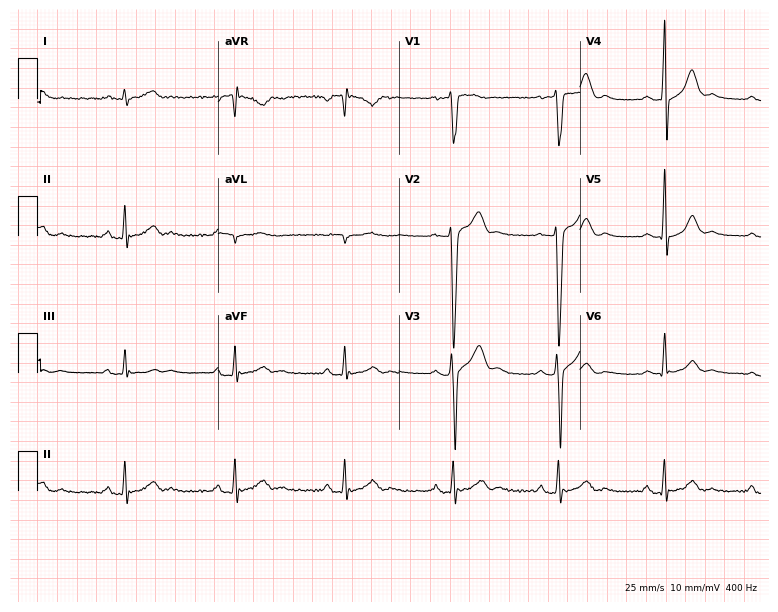
Electrocardiogram (7.4-second recording at 400 Hz), a 33-year-old male. Overall reading on record: normal ECG.